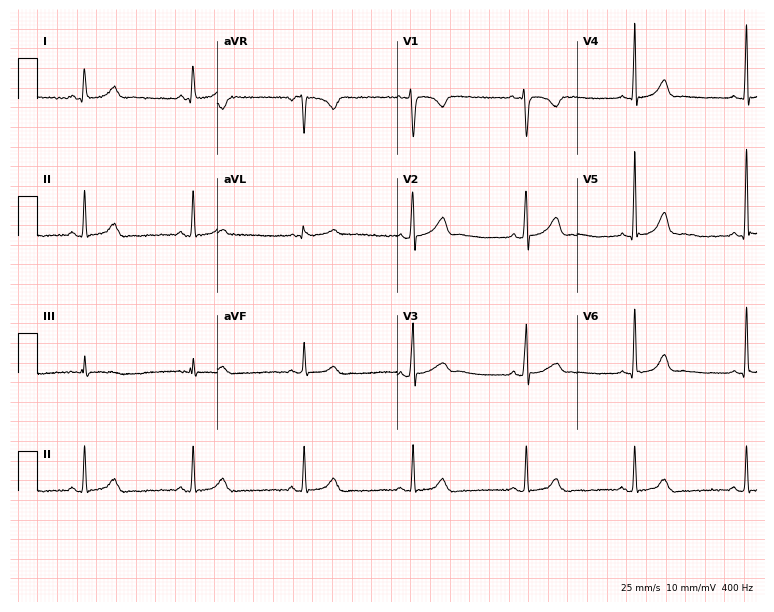
12-lead ECG from a 32-year-old woman. Recorded interpretation: within normal limits.